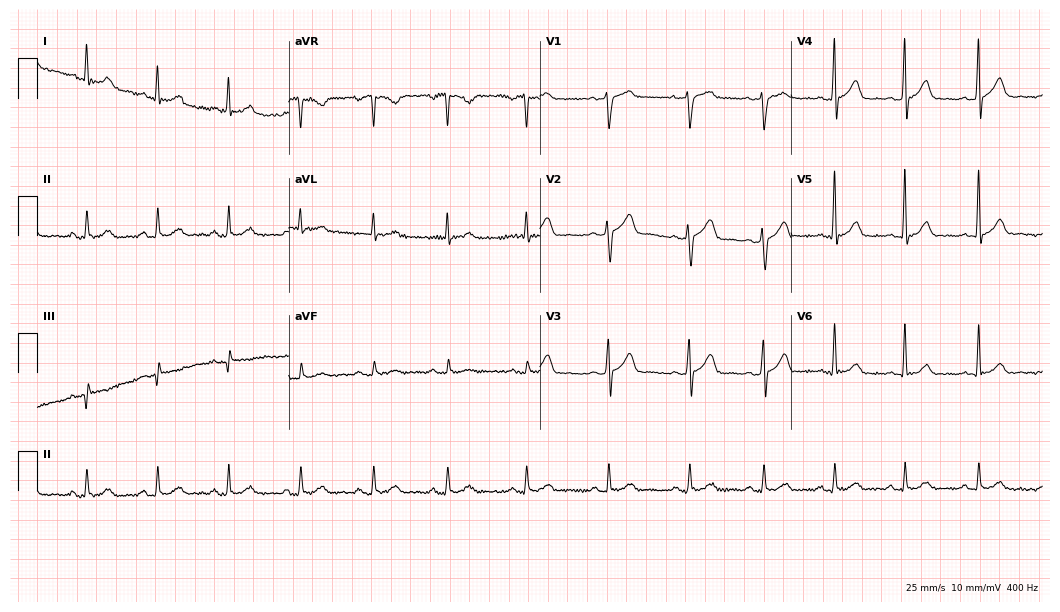
12-lead ECG from a male, 59 years old (10.2-second recording at 400 Hz). Recorded interpretation: within normal limits.